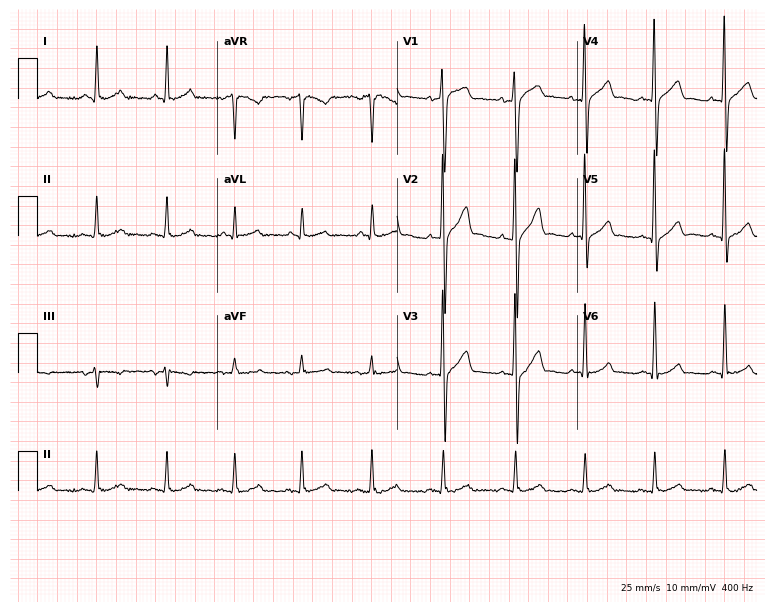
ECG (7.3-second recording at 400 Hz) — a 49-year-old male patient. Labelled as a normal ECG.